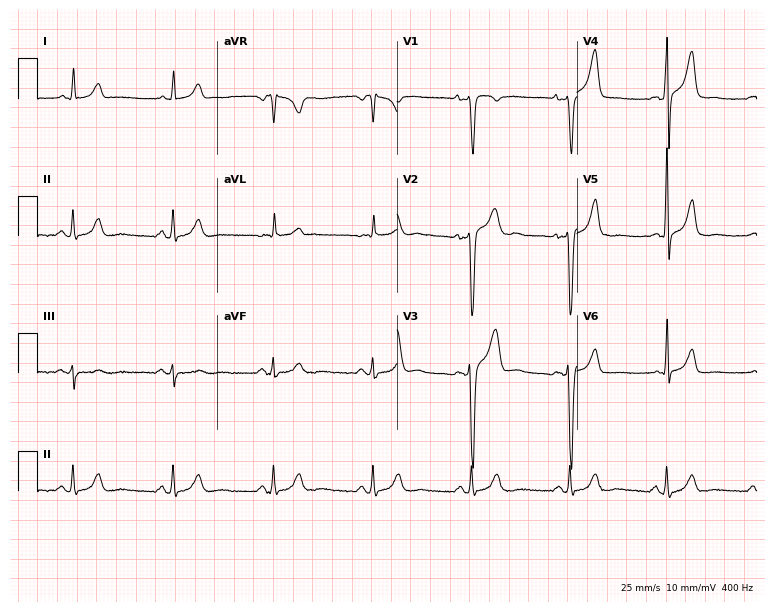
12-lead ECG from a 50-year-old male. Recorded interpretation: within normal limits.